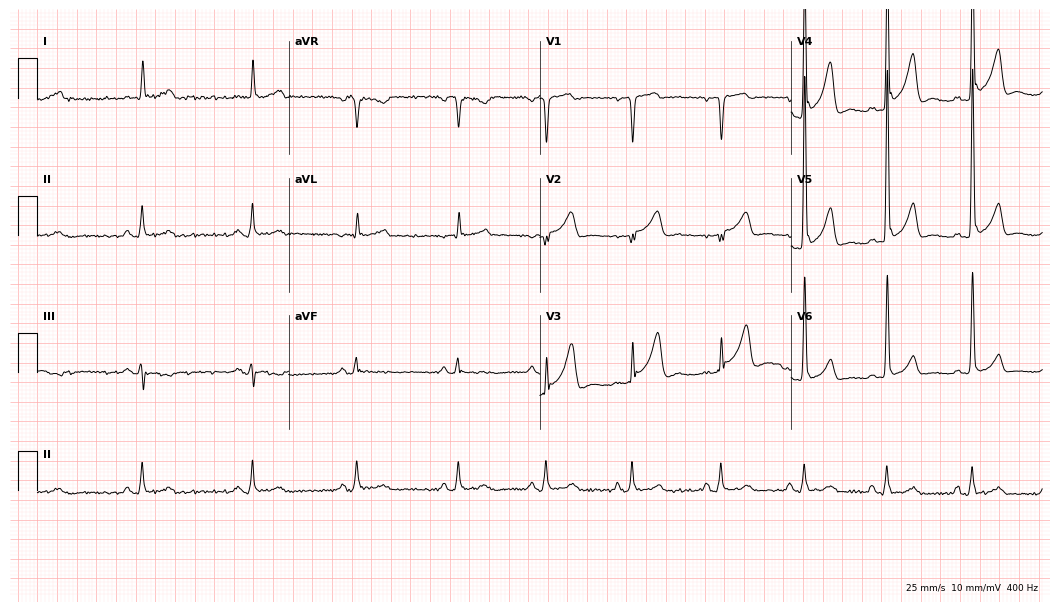
12-lead ECG from a 74-year-old man. Labelled as a normal ECG.